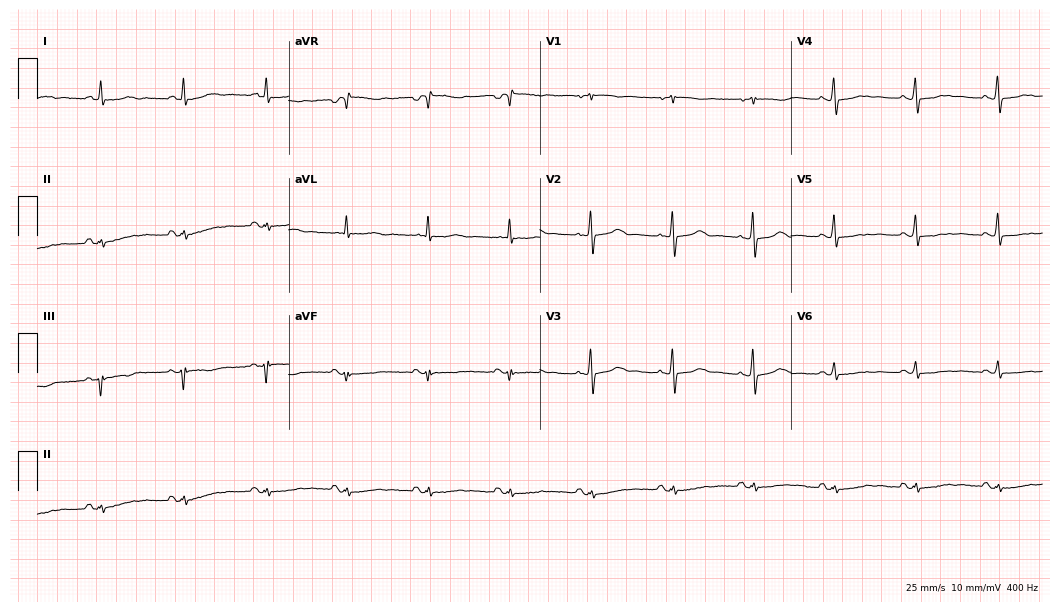
ECG — a woman, 62 years old. Screened for six findings — first-degree AV block, right bundle branch block, left bundle branch block, sinus bradycardia, atrial fibrillation, sinus tachycardia — none is recorded.